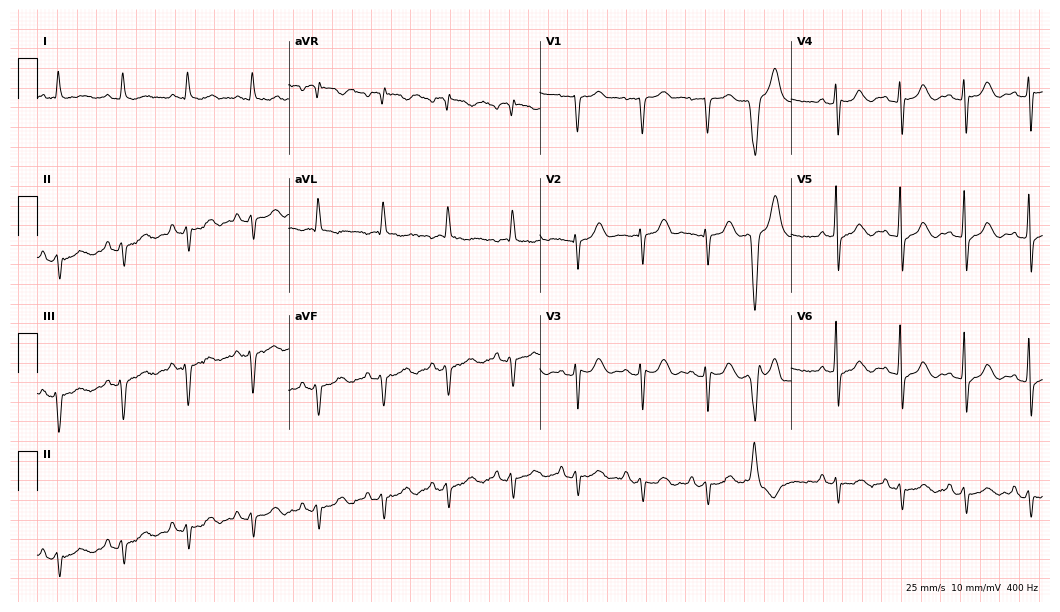
Resting 12-lead electrocardiogram. Patient: an 85-year-old female. None of these six findings is recorded: first-degree AV block, right bundle branch block, left bundle branch block, sinus bradycardia, atrial fibrillation, sinus tachycardia.